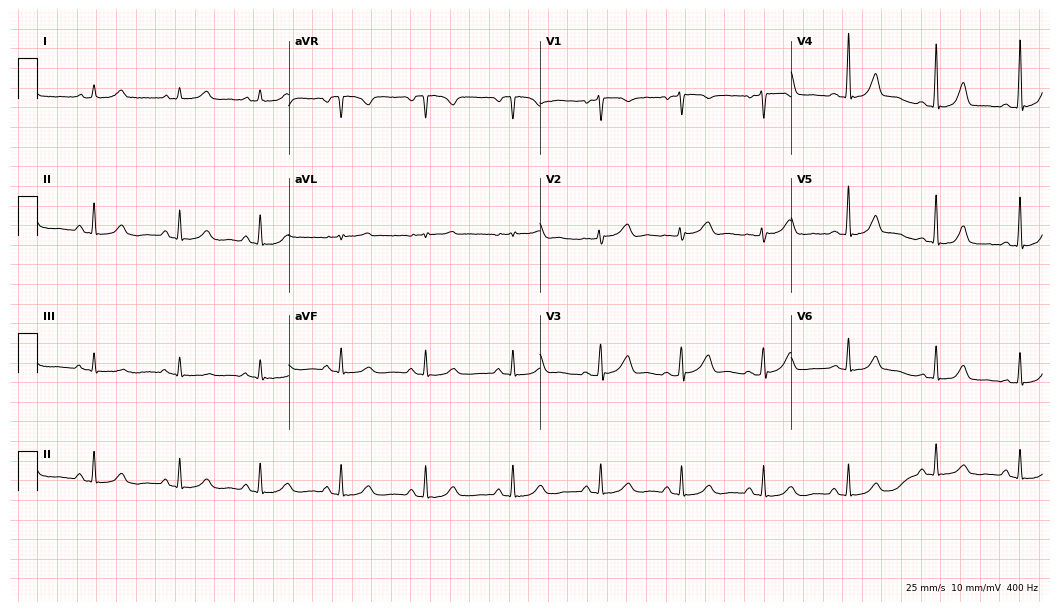
12-lead ECG from a 34-year-old woman (10.2-second recording at 400 Hz). Recorded interpretation: within normal limits.